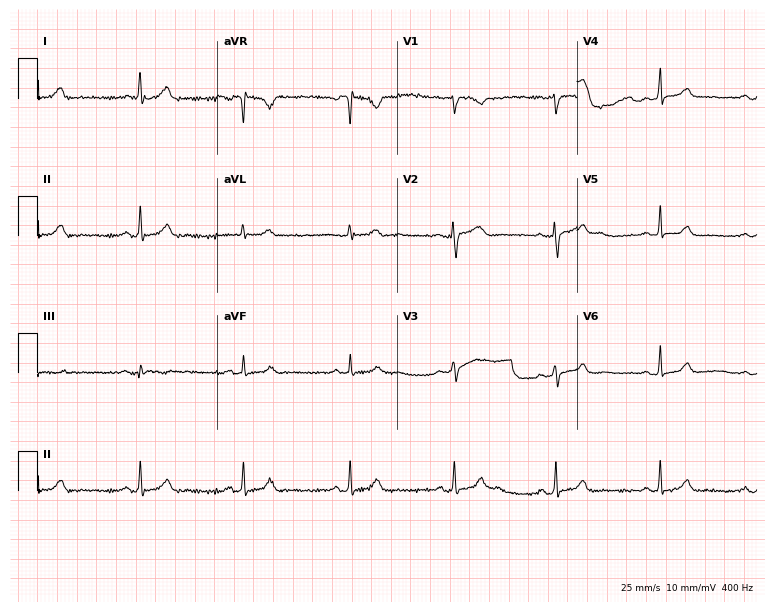
Electrocardiogram (7.3-second recording at 400 Hz), a female patient, 32 years old. Overall reading on record: normal ECG.